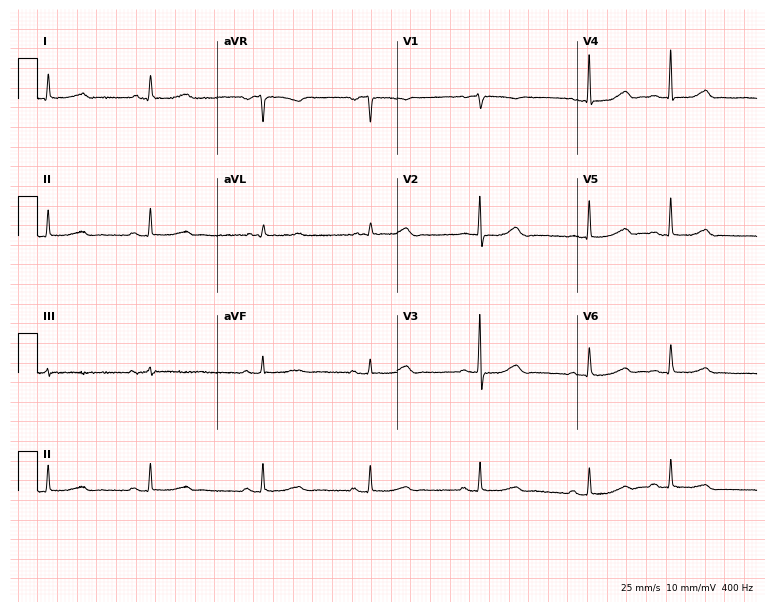
12-lead ECG from a female, 87 years old. No first-degree AV block, right bundle branch block, left bundle branch block, sinus bradycardia, atrial fibrillation or sinus tachycardia recorded for this tracing. Other findings, if any, are not listed.